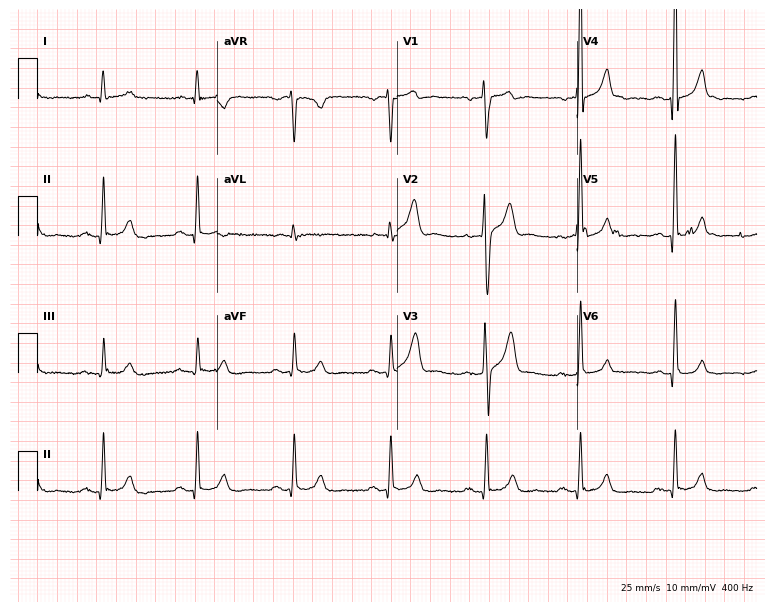
12-lead ECG from a male, 87 years old. Labelled as a normal ECG.